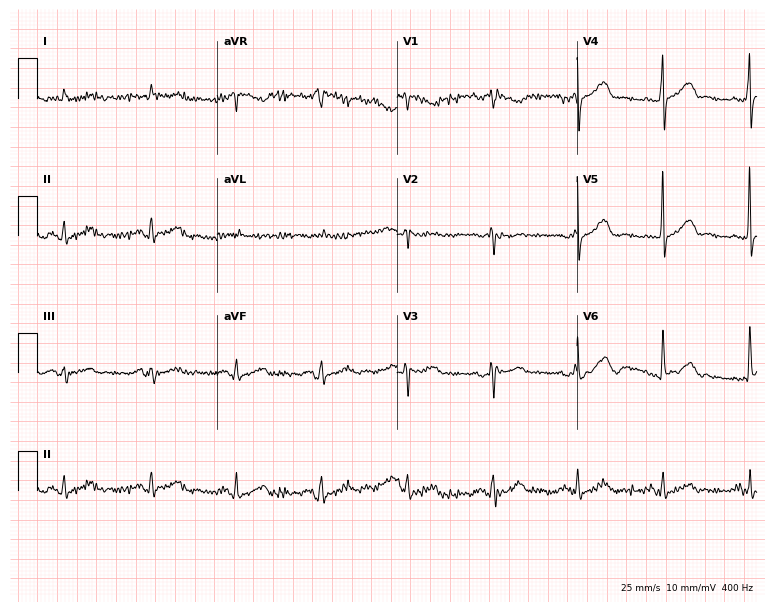
12-lead ECG (7.3-second recording at 400 Hz) from a 61-year-old male patient. Screened for six findings — first-degree AV block, right bundle branch block (RBBB), left bundle branch block (LBBB), sinus bradycardia, atrial fibrillation (AF), sinus tachycardia — none is recorded.